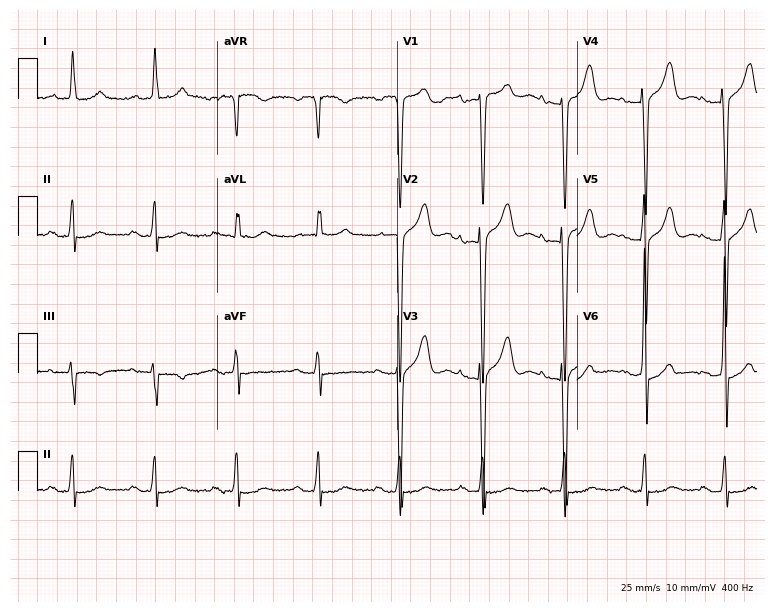
Standard 12-lead ECG recorded from an 83-year-old male (7.3-second recording at 400 Hz). The tracing shows first-degree AV block.